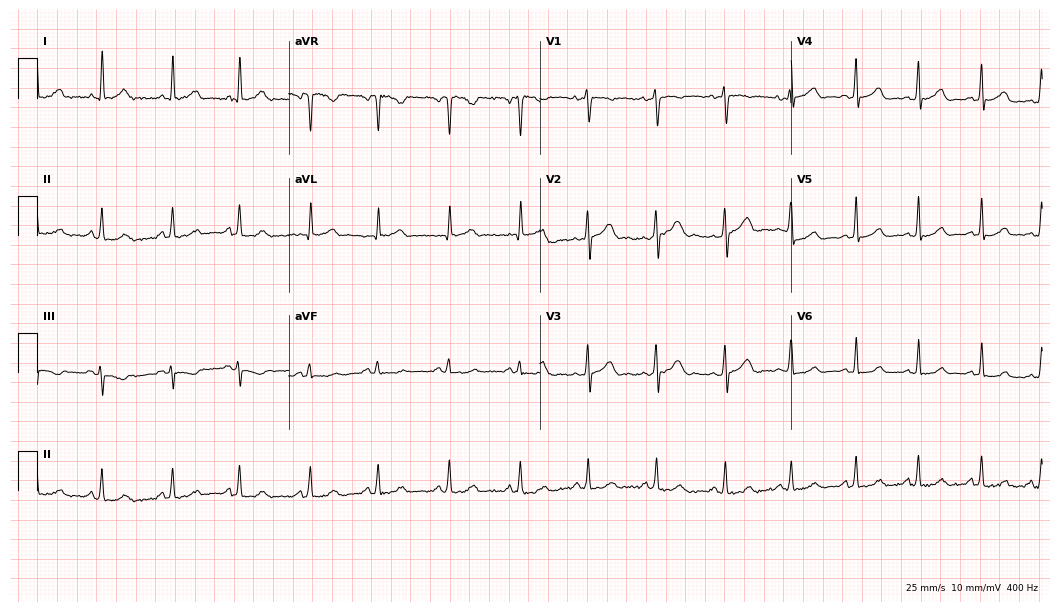
Resting 12-lead electrocardiogram. Patient: a male, 32 years old. Read as a normal ECG.